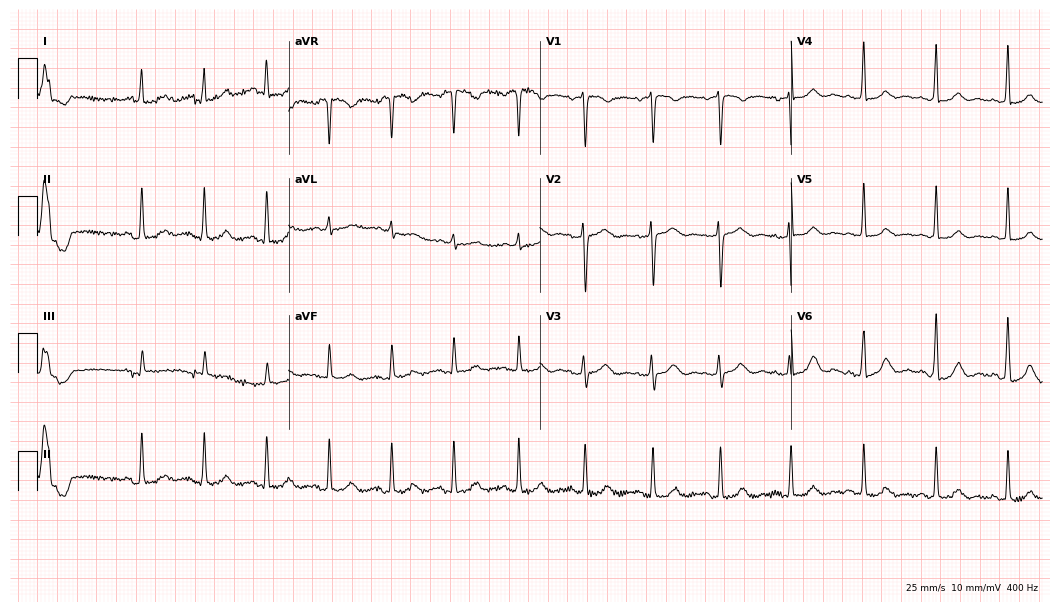
Electrocardiogram (10.2-second recording at 400 Hz), a 43-year-old female. Of the six screened findings (first-degree AV block, right bundle branch block (RBBB), left bundle branch block (LBBB), sinus bradycardia, atrial fibrillation (AF), sinus tachycardia), none is recorded. Other findings, if any, are not listed.